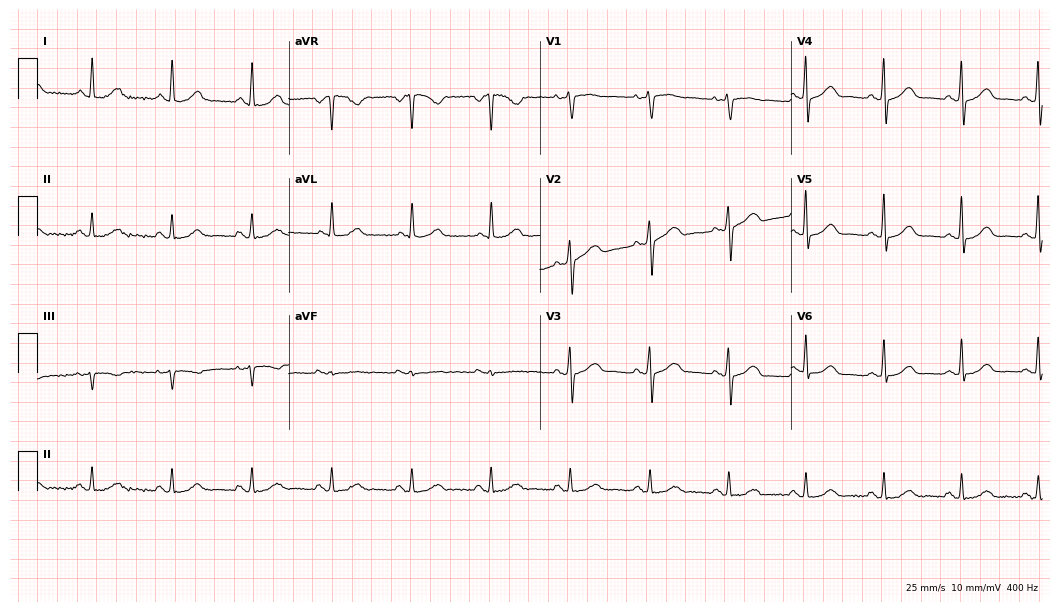
ECG — a woman, 64 years old. Labelled as a normal ECG.